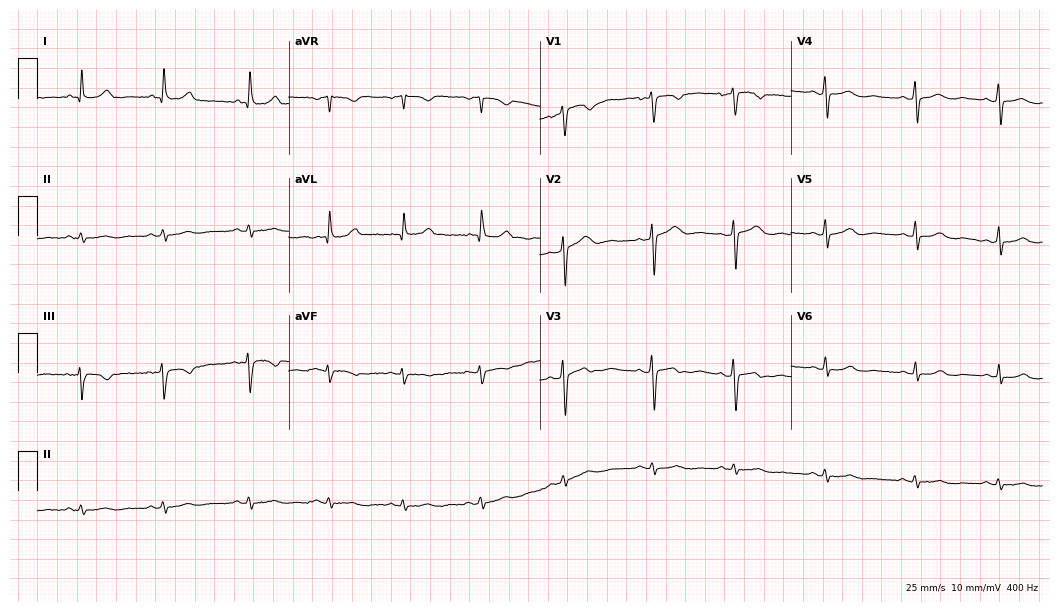
Resting 12-lead electrocardiogram (10.2-second recording at 400 Hz). Patient: a female, 49 years old. None of these six findings is recorded: first-degree AV block, right bundle branch block, left bundle branch block, sinus bradycardia, atrial fibrillation, sinus tachycardia.